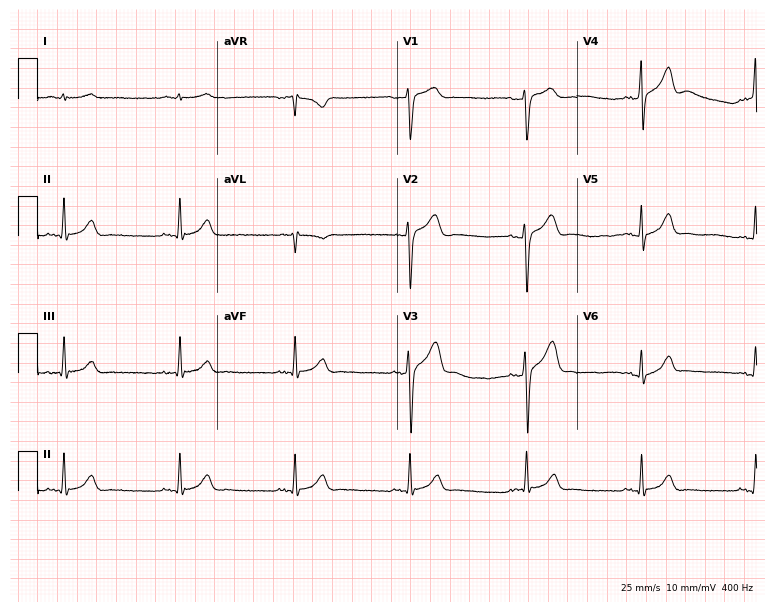
Electrocardiogram, a male, 44 years old. Of the six screened findings (first-degree AV block, right bundle branch block, left bundle branch block, sinus bradycardia, atrial fibrillation, sinus tachycardia), none is recorded. Findings outside these six are not listed.